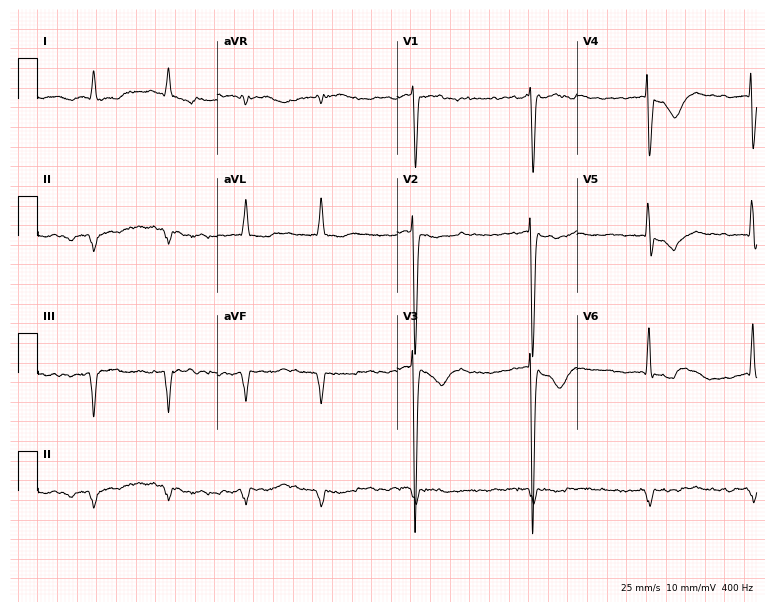
ECG (7.3-second recording at 400 Hz) — a 74-year-old male patient. Findings include atrial fibrillation.